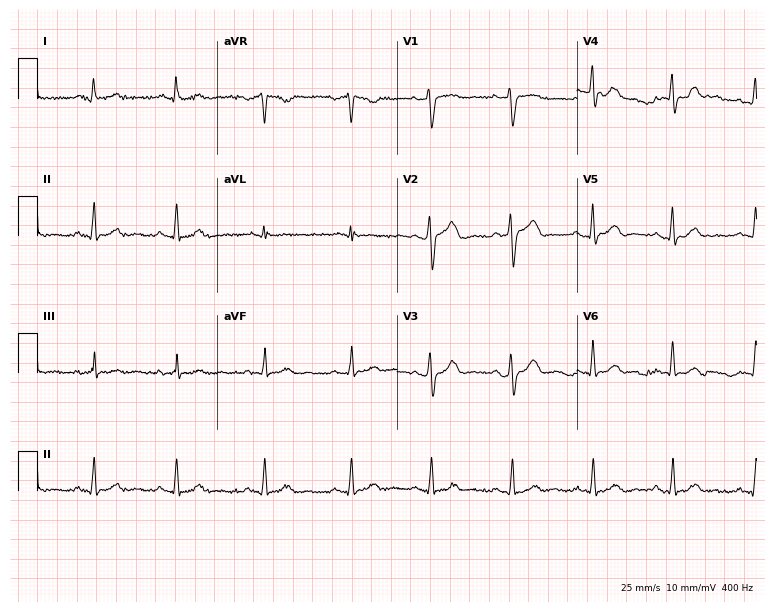
Standard 12-lead ECG recorded from a 31-year-old male. None of these six findings is recorded: first-degree AV block, right bundle branch block, left bundle branch block, sinus bradycardia, atrial fibrillation, sinus tachycardia.